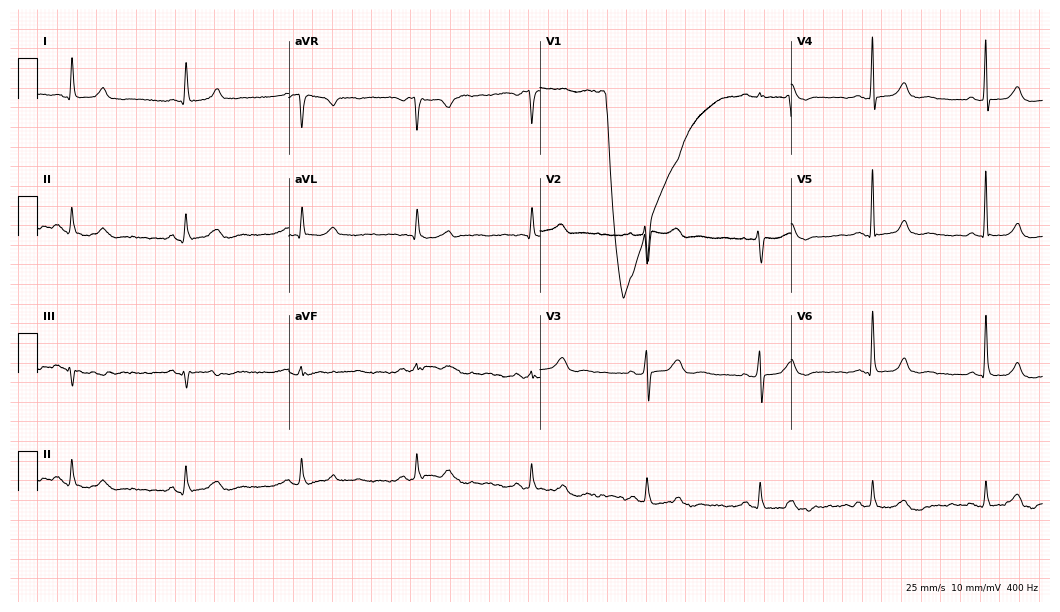
ECG — a 71-year-old female patient. Labelled as a normal ECG.